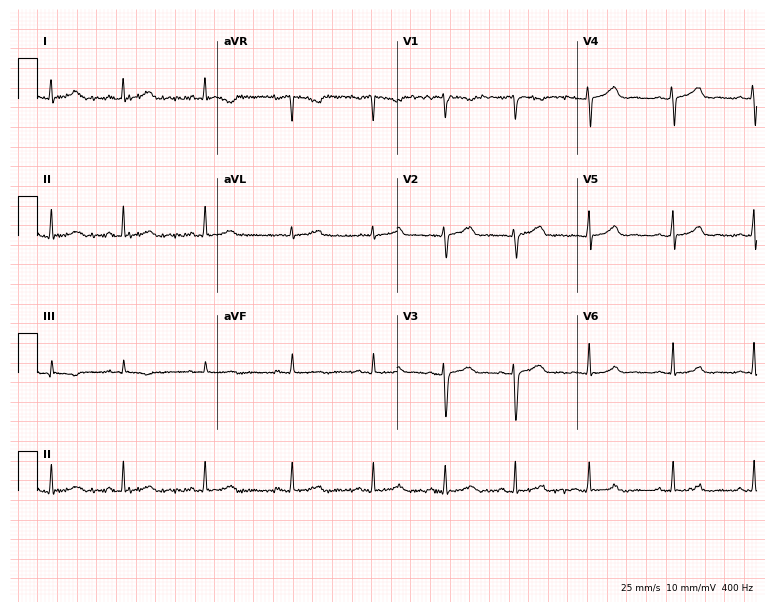
Electrocardiogram (7.3-second recording at 400 Hz), a 26-year-old female patient. Overall reading on record: normal ECG.